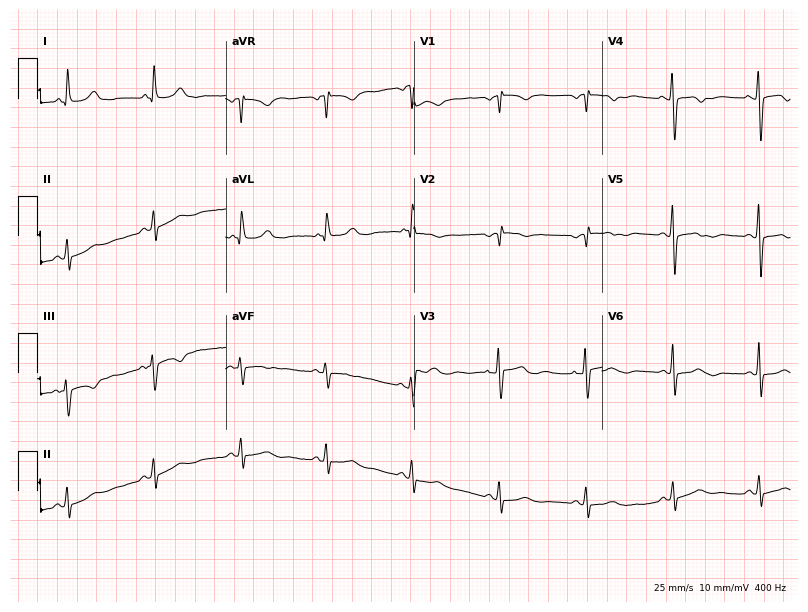
Electrocardiogram, a female patient, 67 years old. Of the six screened findings (first-degree AV block, right bundle branch block (RBBB), left bundle branch block (LBBB), sinus bradycardia, atrial fibrillation (AF), sinus tachycardia), none is recorded.